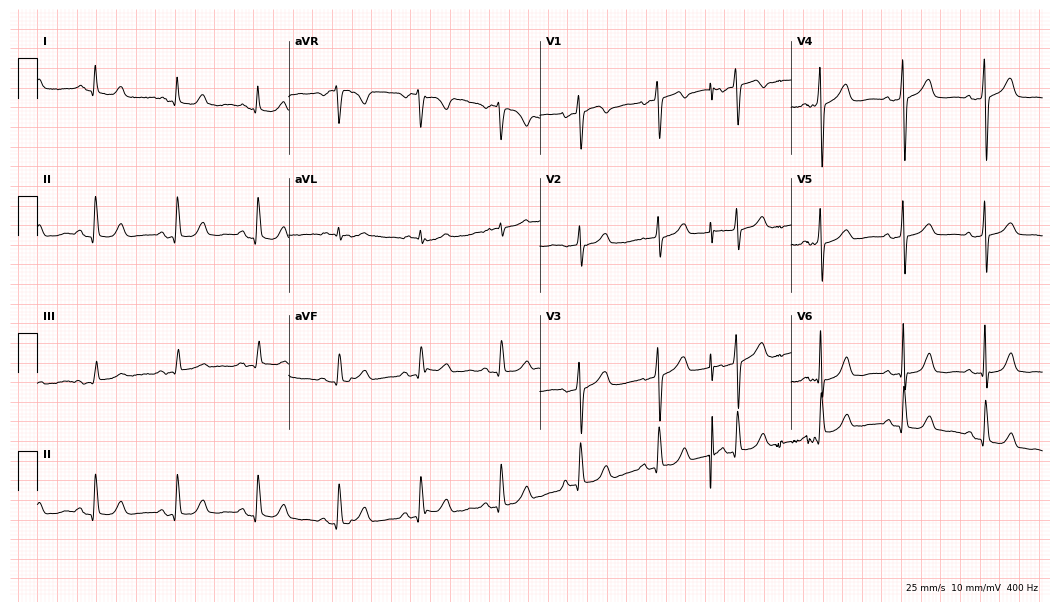
12-lead ECG from a woman, 82 years old. Recorded interpretation: within normal limits.